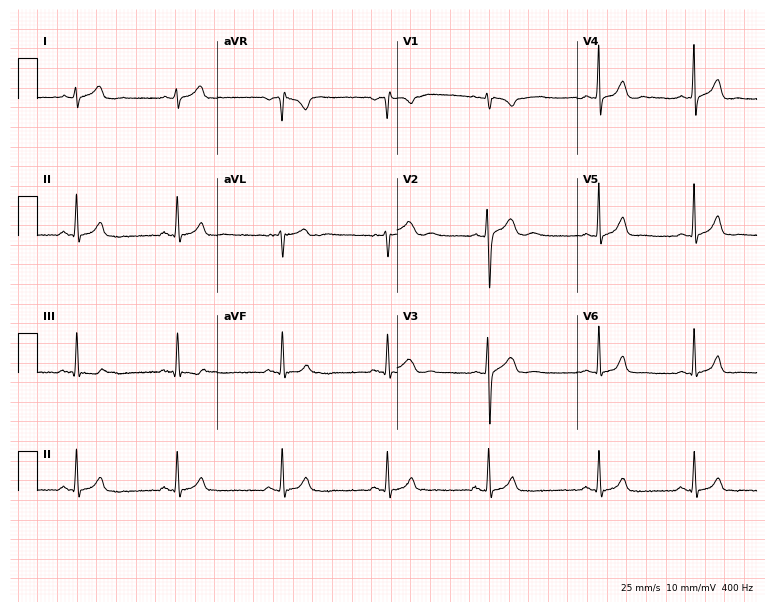
12-lead ECG from a 24-year-old woman. Labelled as a normal ECG.